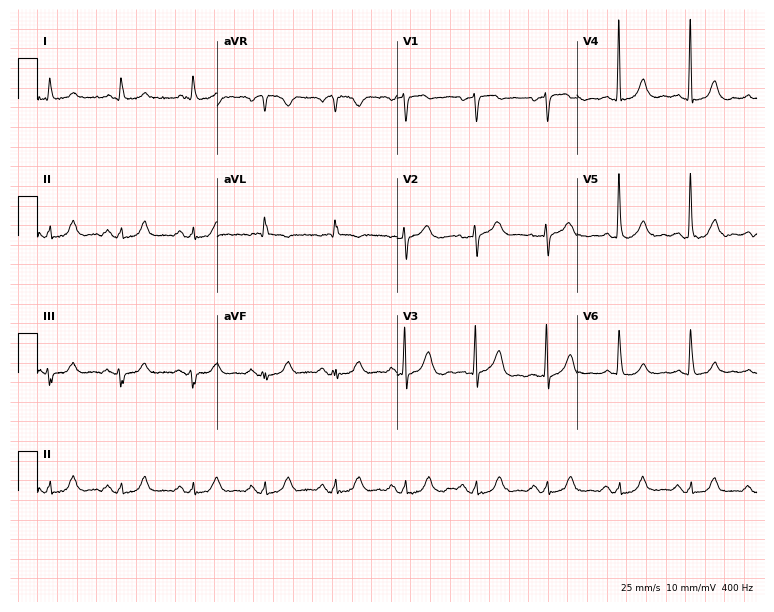
Electrocardiogram (7.3-second recording at 400 Hz), a male patient, 82 years old. Of the six screened findings (first-degree AV block, right bundle branch block, left bundle branch block, sinus bradycardia, atrial fibrillation, sinus tachycardia), none is recorded. Other findings, if any, are not listed.